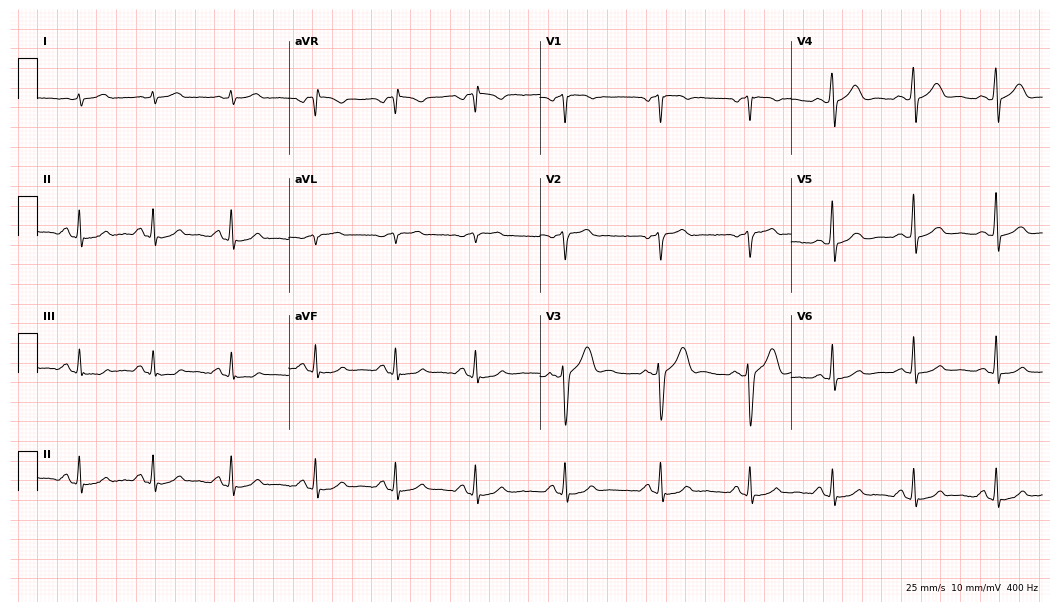
Electrocardiogram, a 47-year-old man. Overall reading on record: normal ECG.